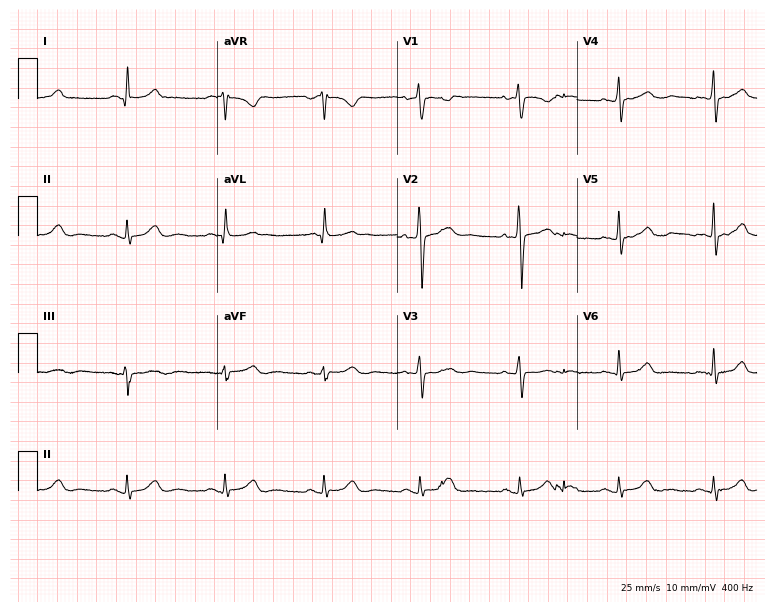
Standard 12-lead ECG recorded from a woman, 45 years old (7.3-second recording at 400 Hz). Read as a normal ECG.